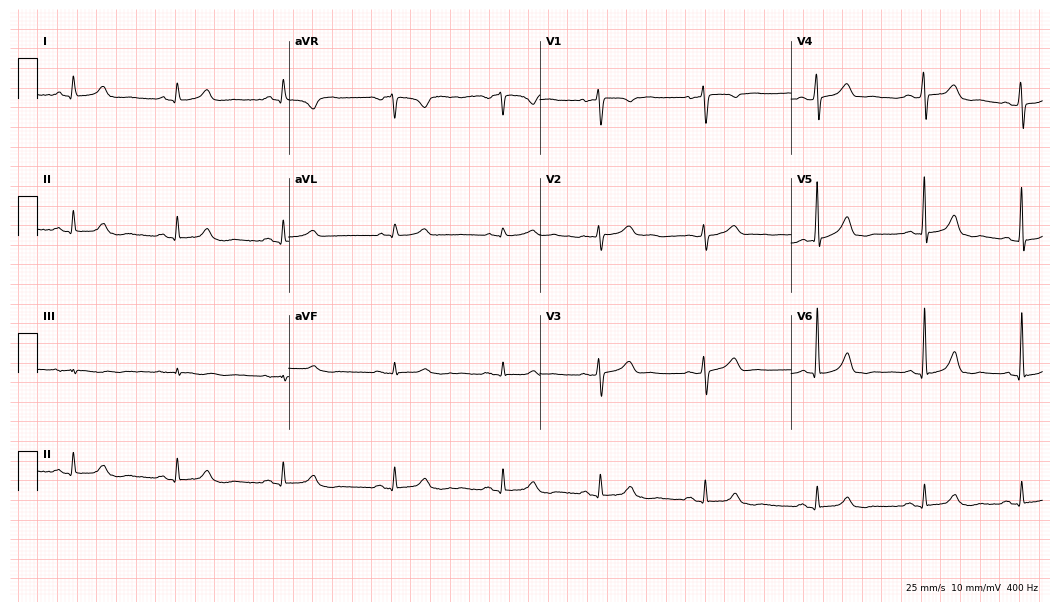
Resting 12-lead electrocardiogram. Patient: a 43-year-old woman. Read as a normal ECG.